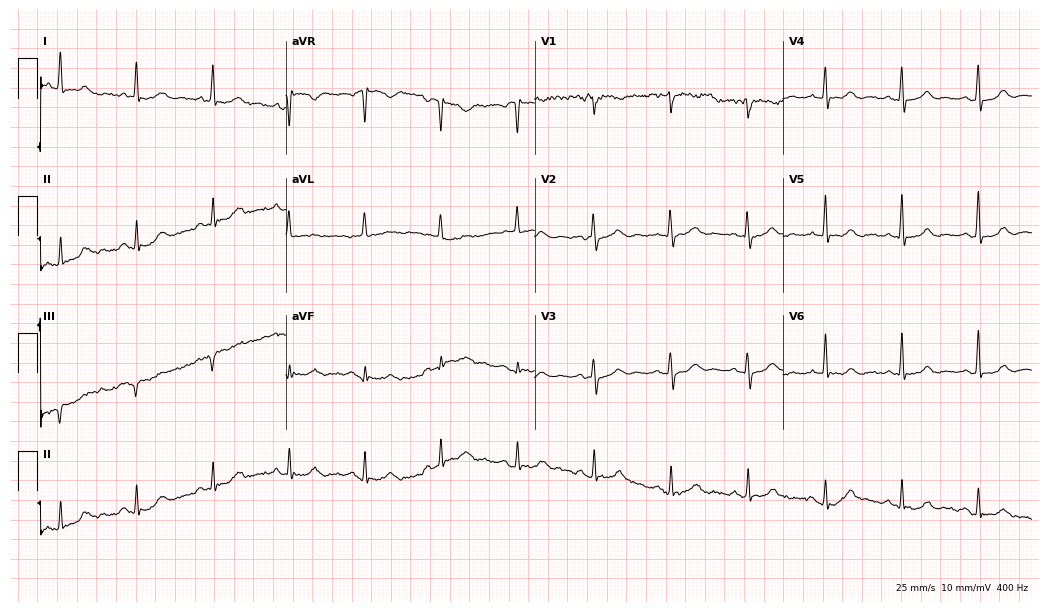
Electrocardiogram, a 73-year-old woman. Of the six screened findings (first-degree AV block, right bundle branch block, left bundle branch block, sinus bradycardia, atrial fibrillation, sinus tachycardia), none is recorded. Other findings, if any, are not listed.